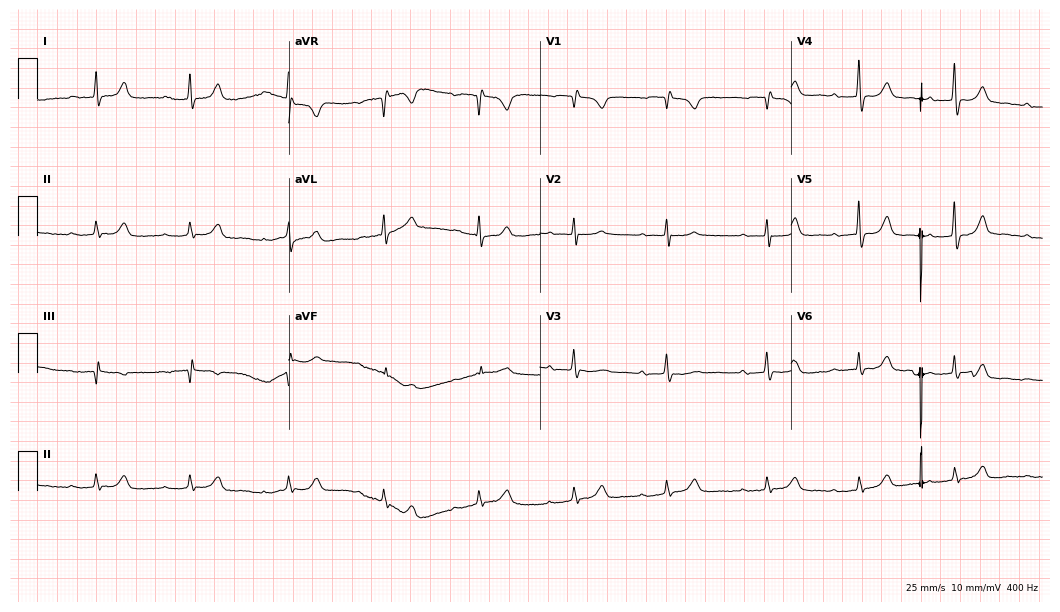
Electrocardiogram (10.2-second recording at 400 Hz), an 84-year-old woman. Interpretation includes first-degree AV block.